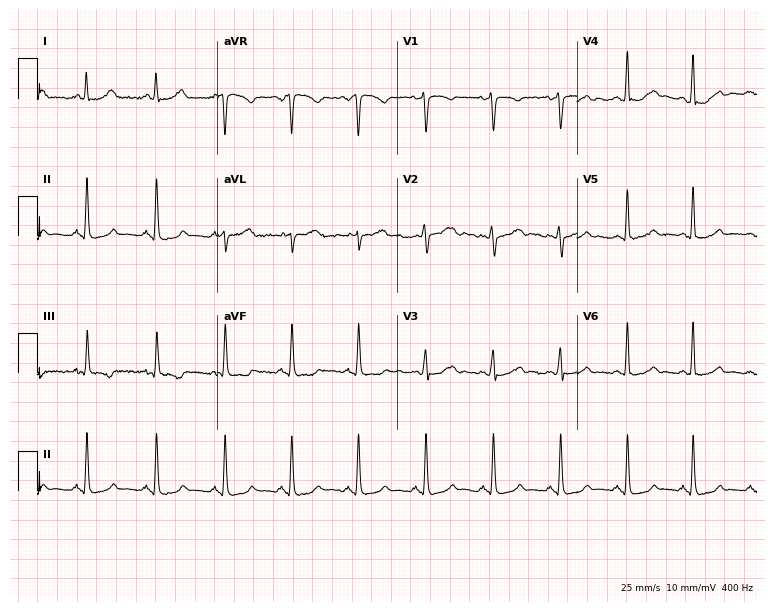
12-lead ECG (7.3-second recording at 400 Hz) from a female patient, 34 years old. Labelled as a normal ECG.